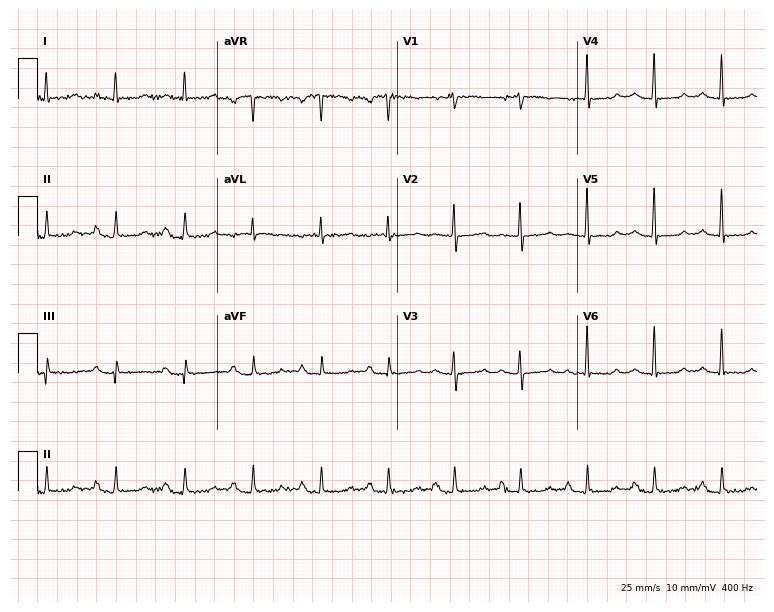
ECG — a 70-year-old female. Findings include first-degree AV block.